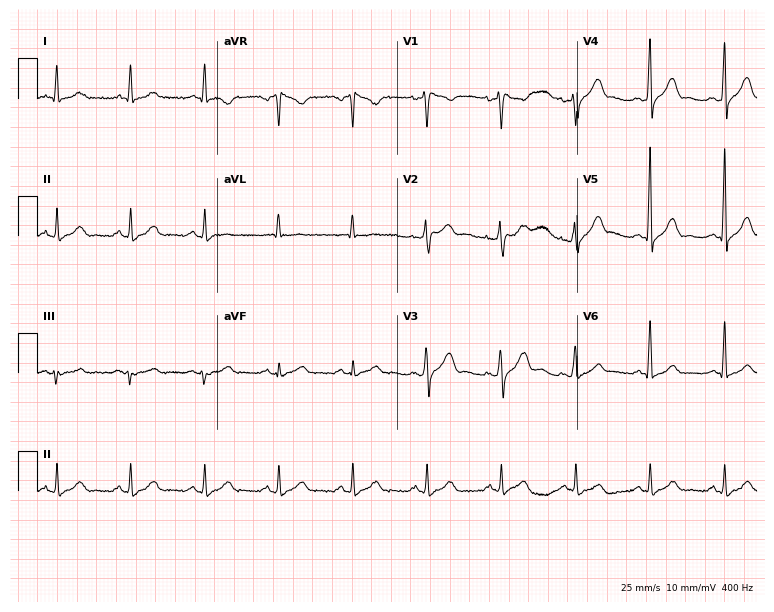
Electrocardiogram, a male patient, 65 years old. Overall reading on record: normal ECG.